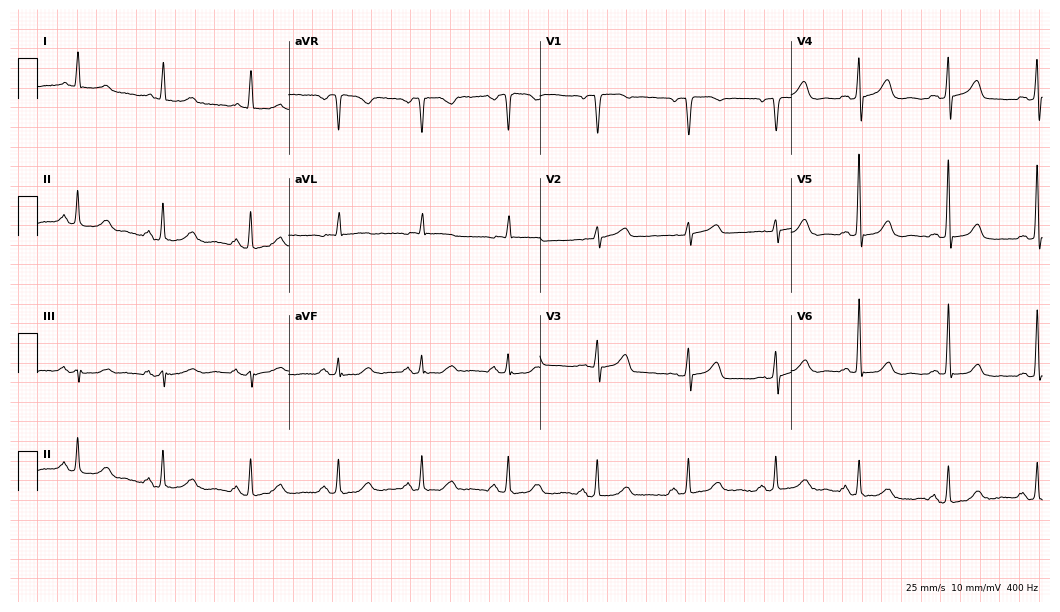
ECG — a female, 55 years old. Screened for six findings — first-degree AV block, right bundle branch block, left bundle branch block, sinus bradycardia, atrial fibrillation, sinus tachycardia — none is recorded.